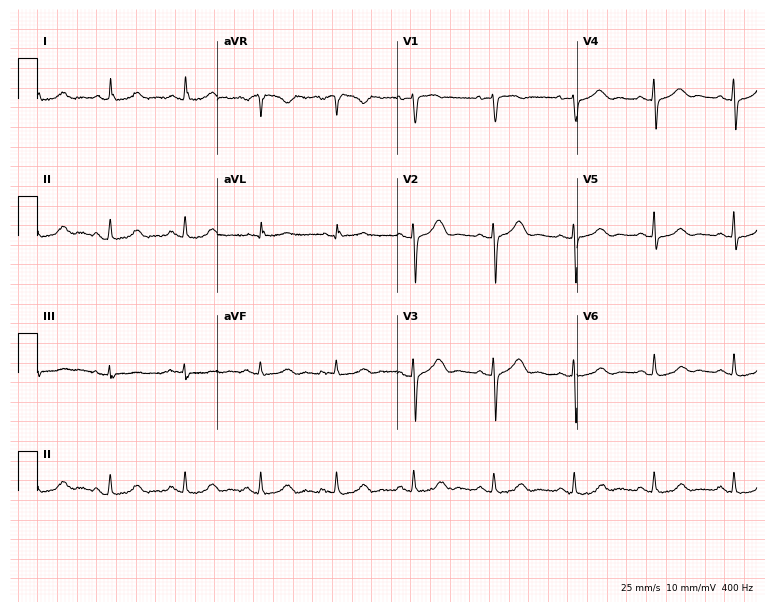
Electrocardiogram (7.3-second recording at 400 Hz), a female patient, 59 years old. Of the six screened findings (first-degree AV block, right bundle branch block, left bundle branch block, sinus bradycardia, atrial fibrillation, sinus tachycardia), none is recorded.